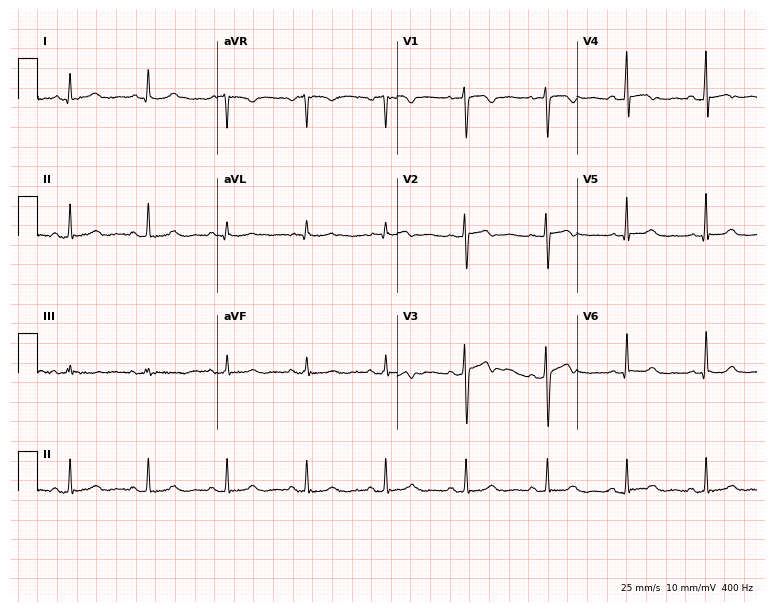
12-lead ECG from a female patient, 50 years old. Screened for six findings — first-degree AV block, right bundle branch block, left bundle branch block, sinus bradycardia, atrial fibrillation, sinus tachycardia — none is recorded.